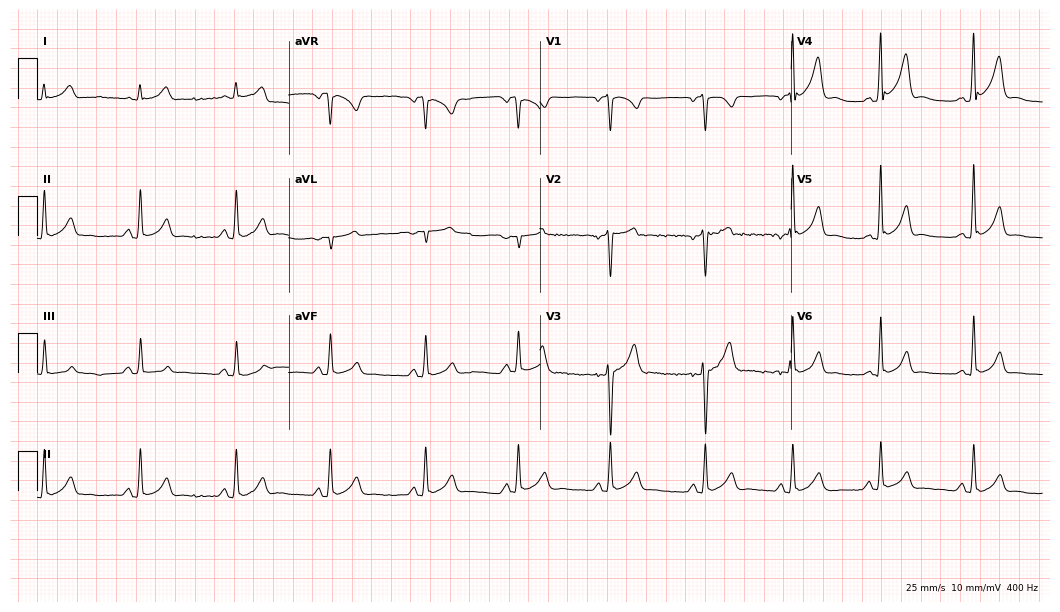
Standard 12-lead ECG recorded from a man, 36 years old (10.2-second recording at 400 Hz). Read as a normal ECG.